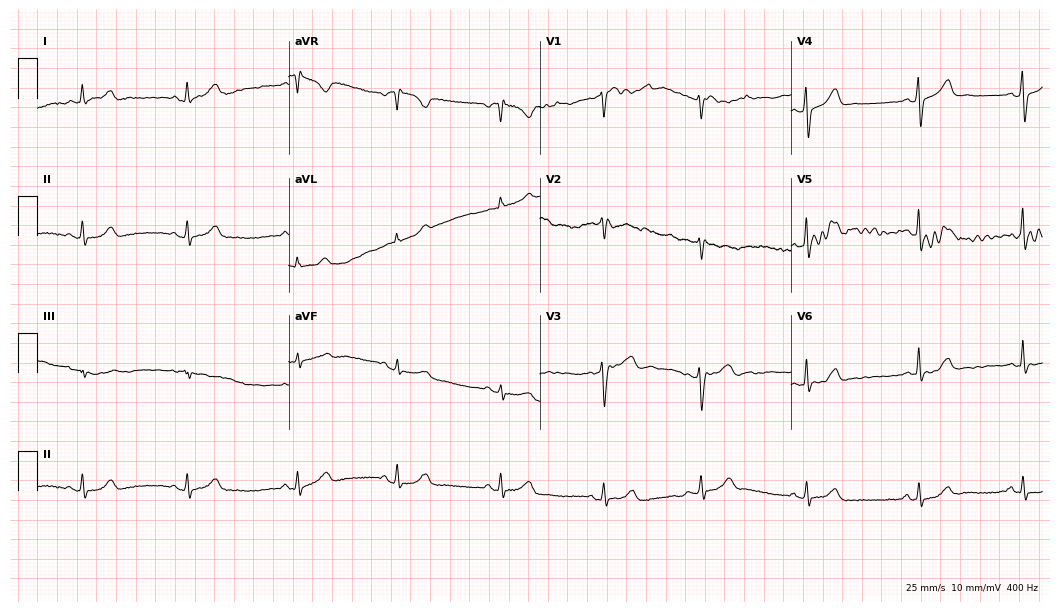
ECG (10.2-second recording at 400 Hz) — a 44-year-old female patient. Screened for six findings — first-degree AV block, right bundle branch block (RBBB), left bundle branch block (LBBB), sinus bradycardia, atrial fibrillation (AF), sinus tachycardia — none is recorded.